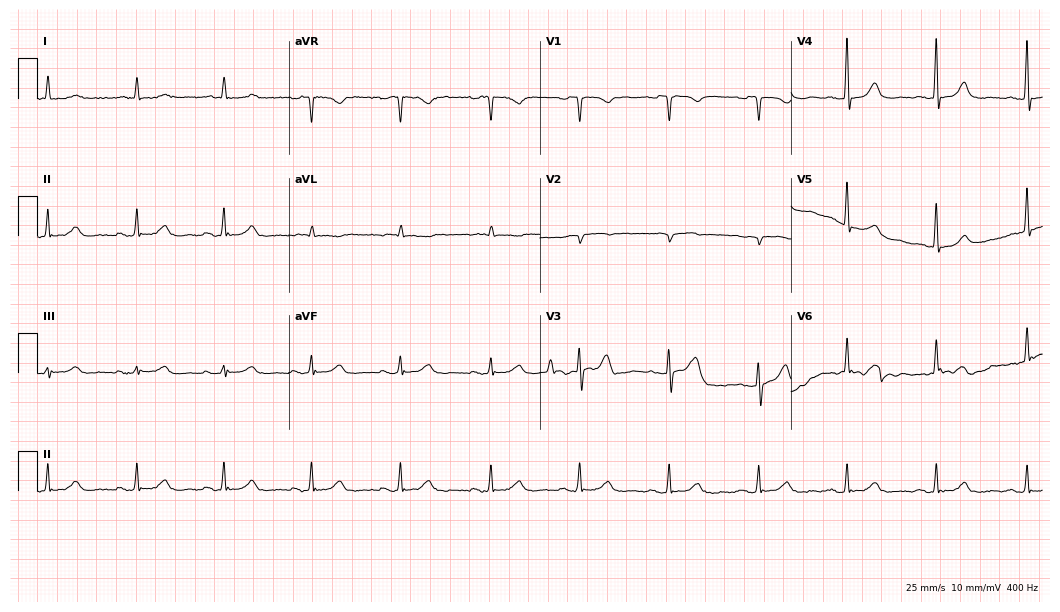
Electrocardiogram, a man, 81 years old. Of the six screened findings (first-degree AV block, right bundle branch block, left bundle branch block, sinus bradycardia, atrial fibrillation, sinus tachycardia), none is recorded.